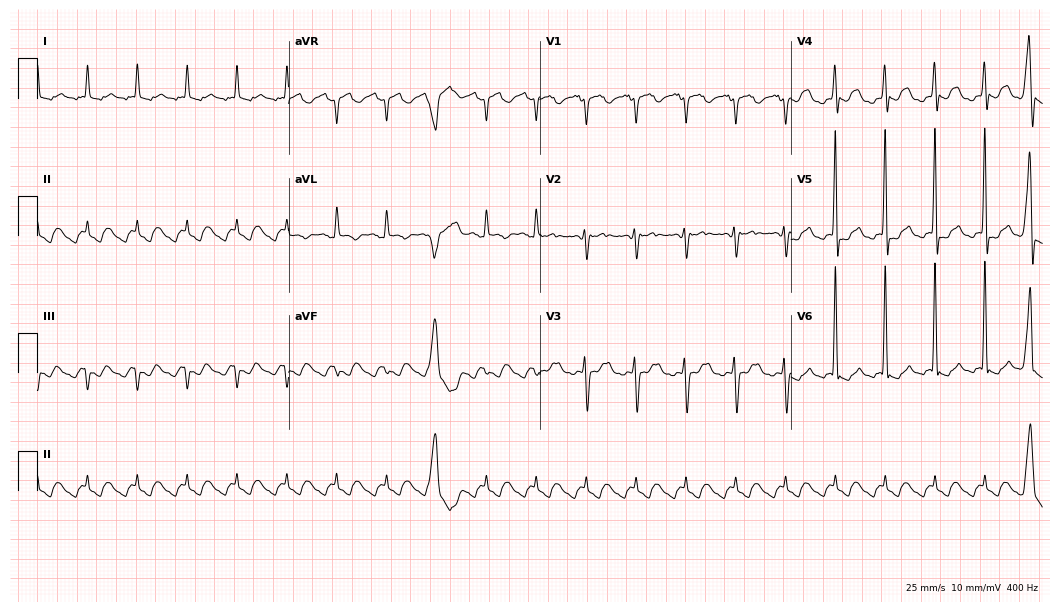
Resting 12-lead electrocardiogram. Patient: a male, 81 years old. None of these six findings is recorded: first-degree AV block, right bundle branch block, left bundle branch block, sinus bradycardia, atrial fibrillation, sinus tachycardia.